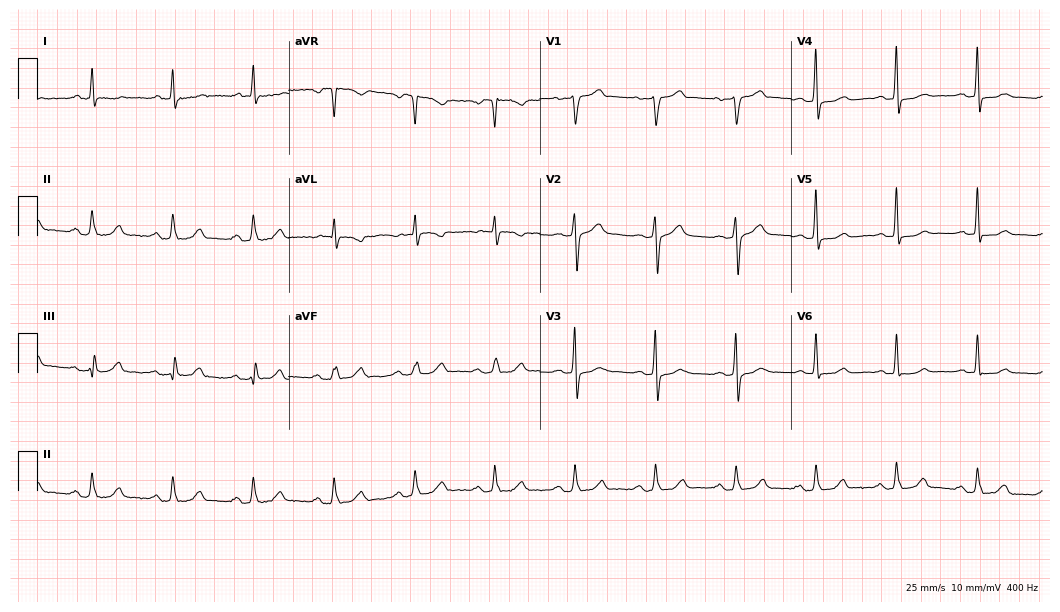
Electrocardiogram (10.2-second recording at 400 Hz), a man, 32 years old. Overall reading on record: normal ECG.